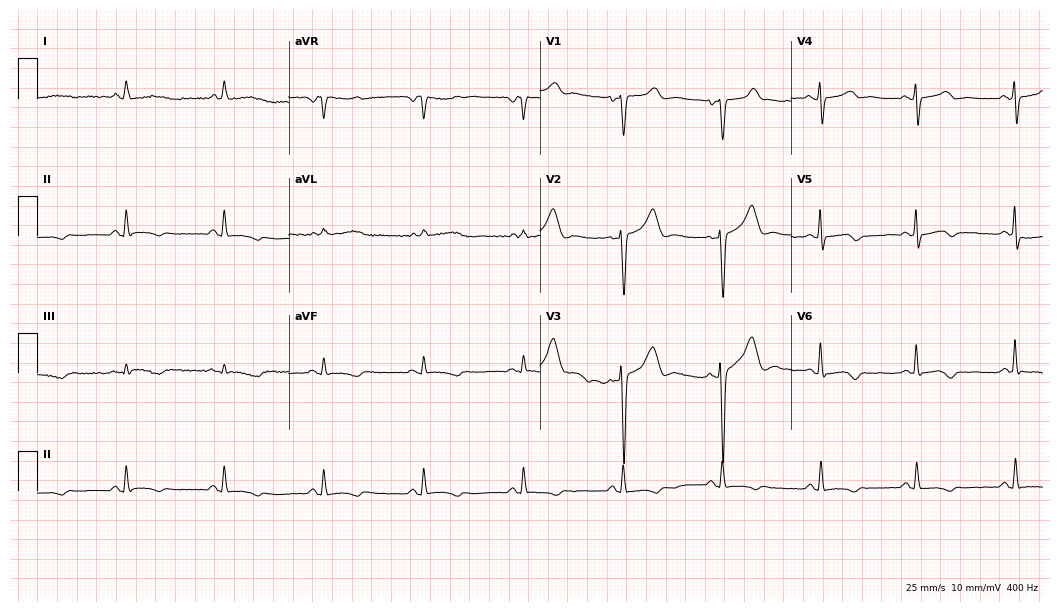
Resting 12-lead electrocardiogram (10.2-second recording at 400 Hz). Patient: a female, 46 years old. None of these six findings is recorded: first-degree AV block, right bundle branch block, left bundle branch block, sinus bradycardia, atrial fibrillation, sinus tachycardia. Only these six findings were labelled.